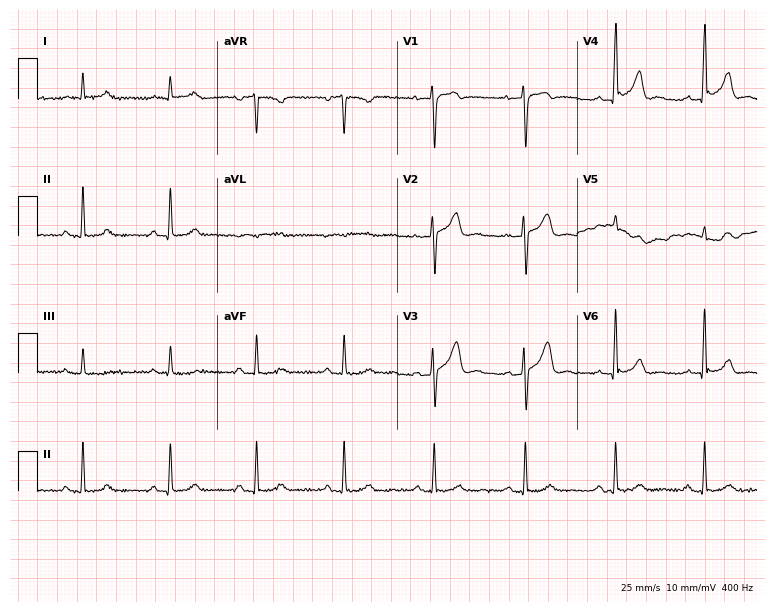
Standard 12-lead ECG recorded from a 58-year-old male patient (7.3-second recording at 400 Hz). None of these six findings is recorded: first-degree AV block, right bundle branch block (RBBB), left bundle branch block (LBBB), sinus bradycardia, atrial fibrillation (AF), sinus tachycardia.